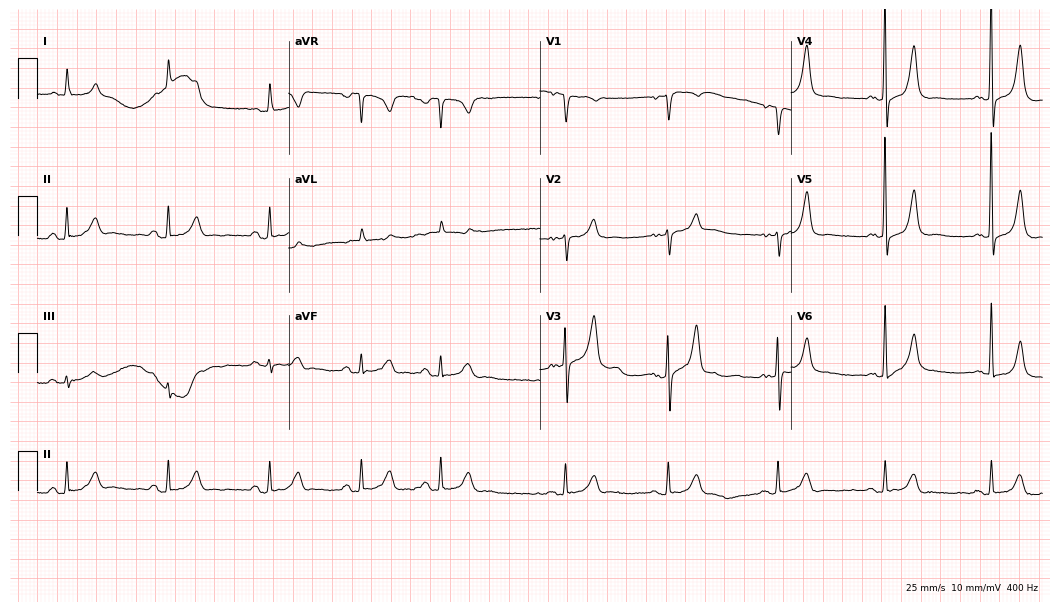
ECG — a male, 67 years old. Screened for six findings — first-degree AV block, right bundle branch block (RBBB), left bundle branch block (LBBB), sinus bradycardia, atrial fibrillation (AF), sinus tachycardia — none is recorded.